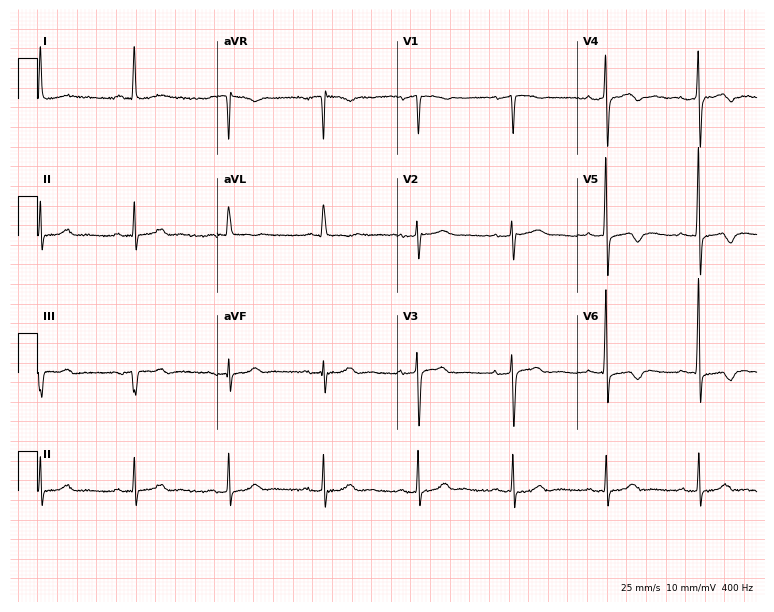
12-lead ECG from a female patient, 57 years old. Screened for six findings — first-degree AV block, right bundle branch block, left bundle branch block, sinus bradycardia, atrial fibrillation, sinus tachycardia — none is recorded. Other findings, if any, are not listed.